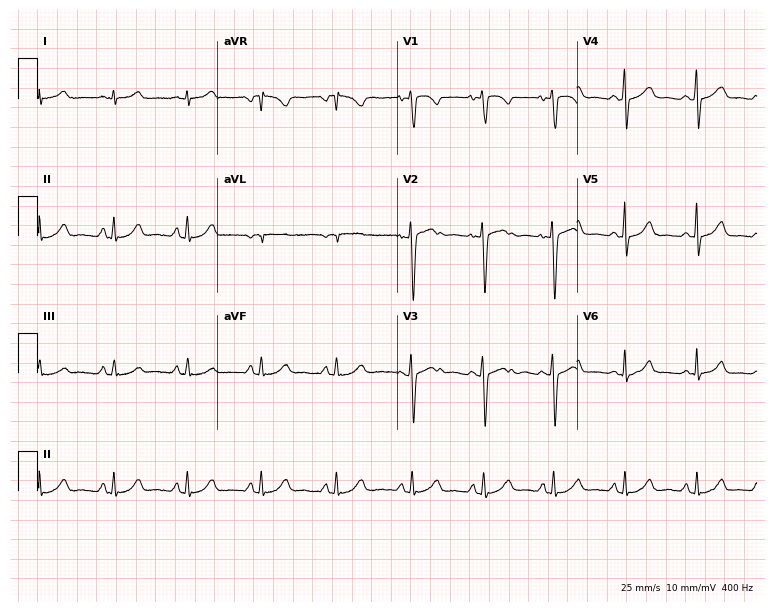
Standard 12-lead ECG recorded from a woman, 42 years old (7.3-second recording at 400 Hz). Read as a normal ECG.